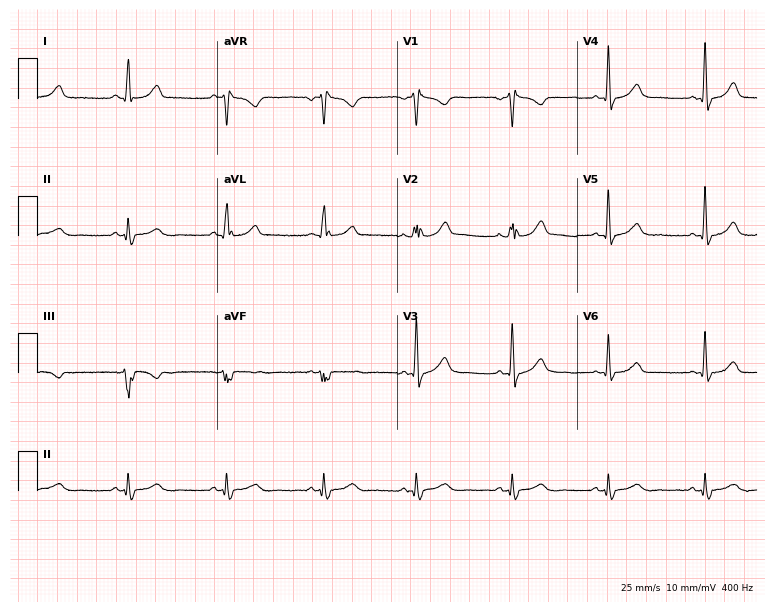
Standard 12-lead ECG recorded from a 52-year-old male patient (7.3-second recording at 400 Hz). None of these six findings is recorded: first-degree AV block, right bundle branch block, left bundle branch block, sinus bradycardia, atrial fibrillation, sinus tachycardia. Other findings, if any, are not listed.